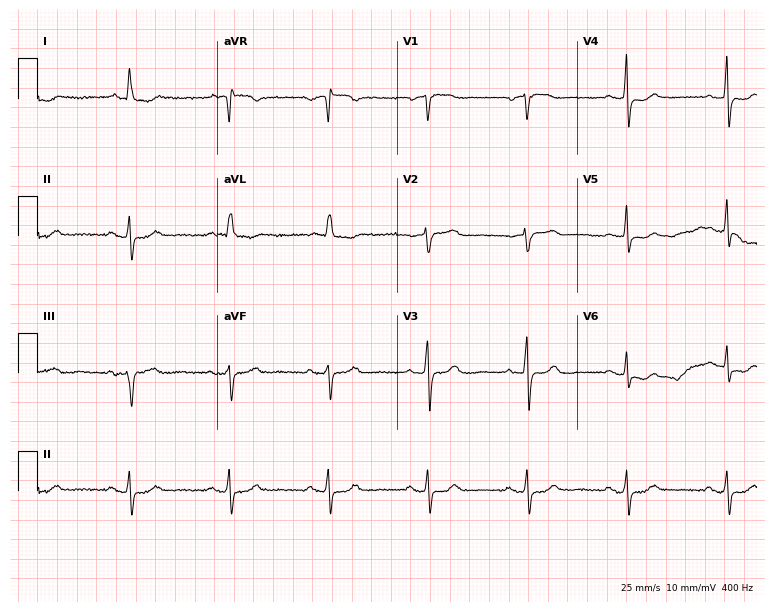
ECG (7.3-second recording at 400 Hz) — a 66-year-old female patient. Labelled as a normal ECG.